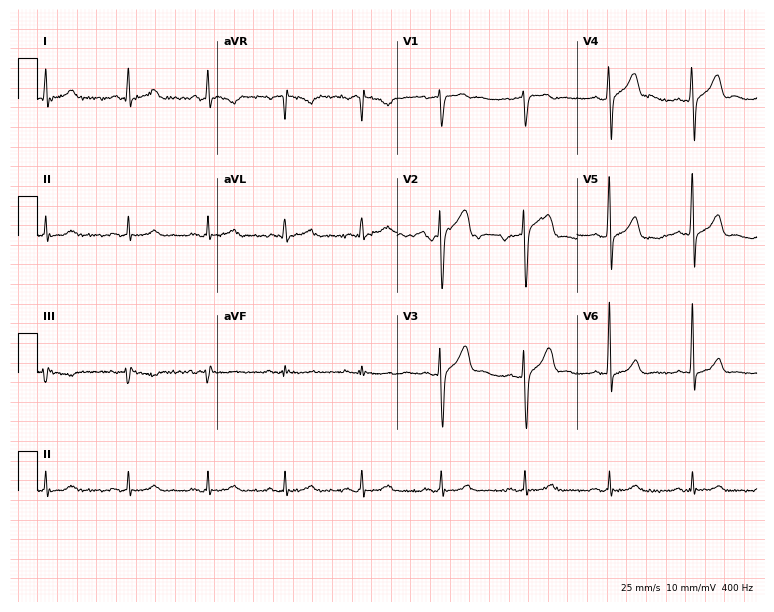
Resting 12-lead electrocardiogram. Patient: a male, 49 years old. None of these six findings is recorded: first-degree AV block, right bundle branch block, left bundle branch block, sinus bradycardia, atrial fibrillation, sinus tachycardia.